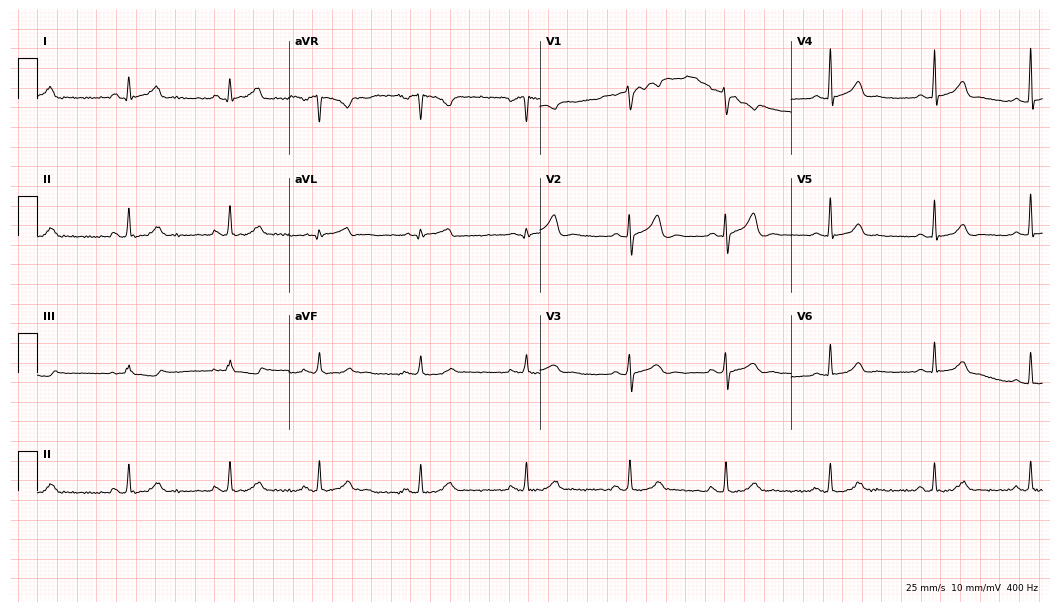
ECG (10.2-second recording at 400 Hz) — a female patient, 32 years old. Screened for six findings — first-degree AV block, right bundle branch block, left bundle branch block, sinus bradycardia, atrial fibrillation, sinus tachycardia — none is recorded. Other findings, if any, are not listed.